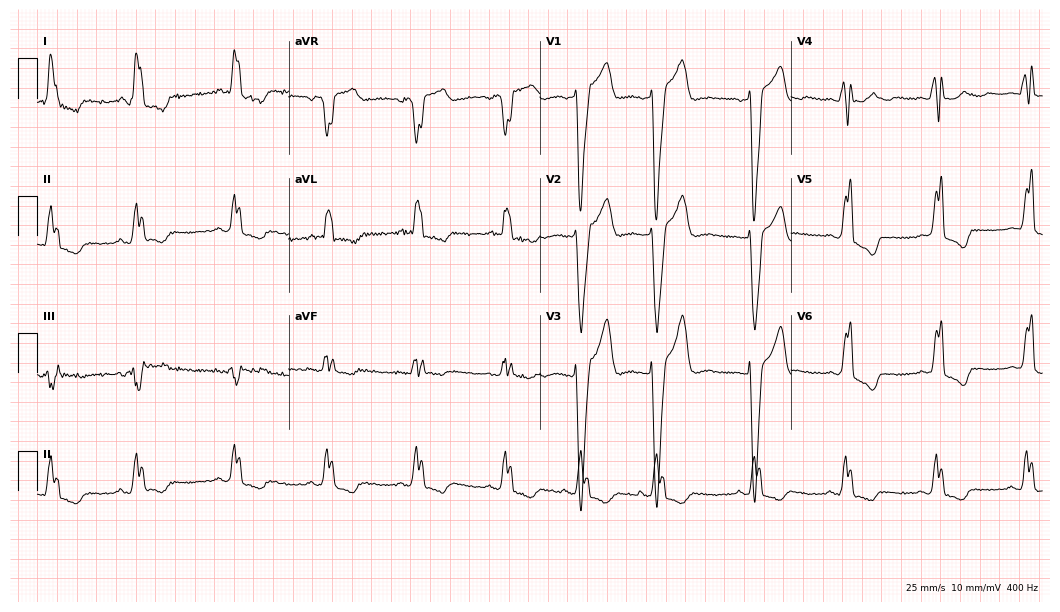
ECG — a 58-year-old female. Findings include left bundle branch block.